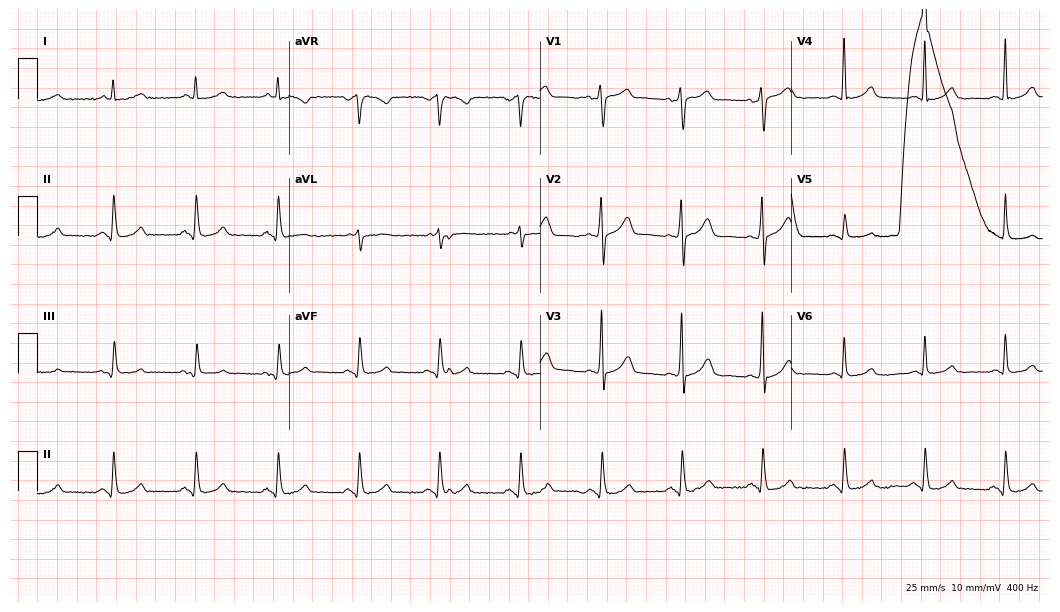
Electrocardiogram (10.2-second recording at 400 Hz), a male patient, 64 years old. Overall reading on record: normal ECG.